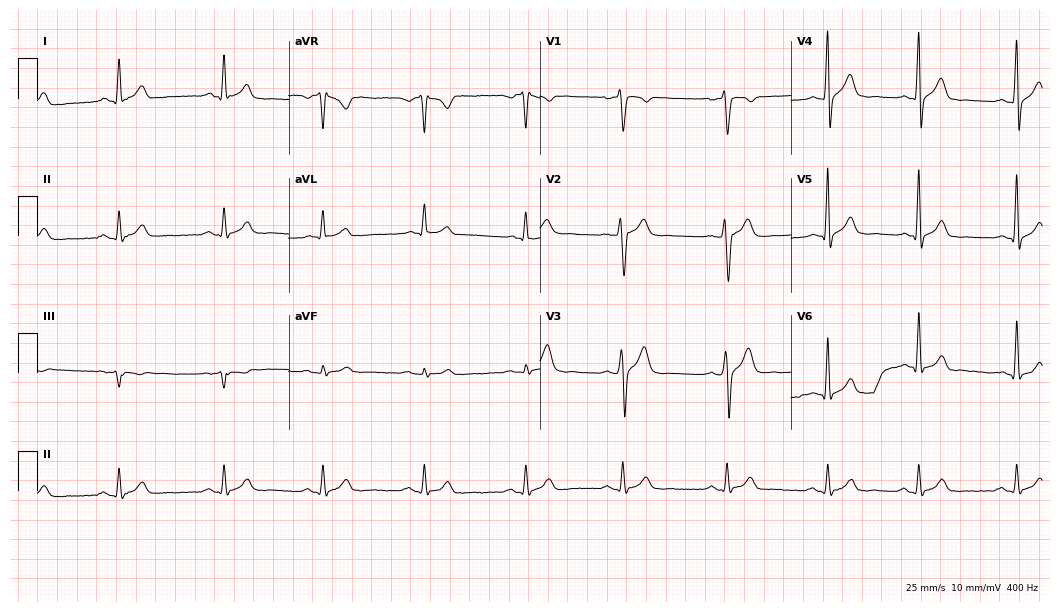
Electrocardiogram, a male patient, 28 years old. Of the six screened findings (first-degree AV block, right bundle branch block, left bundle branch block, sinus bradycardia, atrial fibrillation, sinus tachycardia), none is recorded.